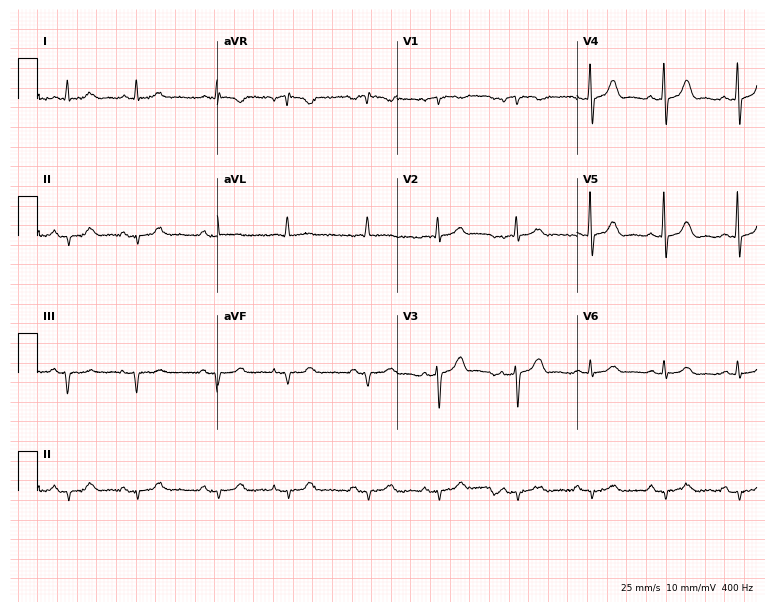
Electrocardiogram (7.3-second recording at 400 Hz), a male patient, 70 years old. Of the six screened findings (first-degree AV block, right bundle branch block, left bundle branch block, sinus bradycardia, atrial fibrillation, sinus tachycardia), none is recorded. Other findings, if any, are not listed.